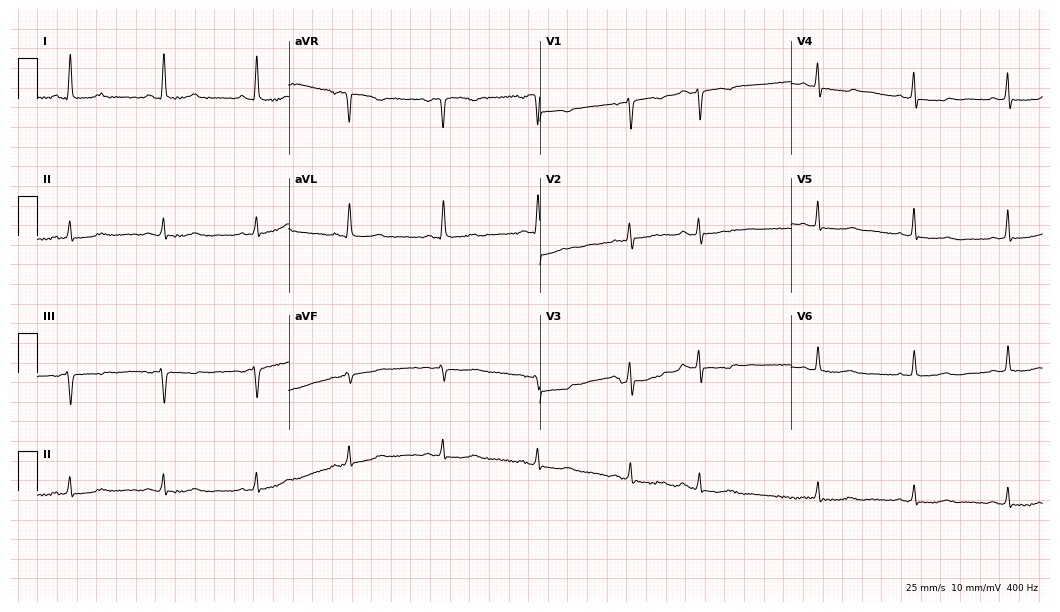
Resting 12-lead electrocardiogram. Patient: a female, 68 years old. None of these six findings is recorded: first-degree AV block, right bundle branch block, left bundle branch block, sinus bradycardia, atrial fibrillation, sinus tachycardia.